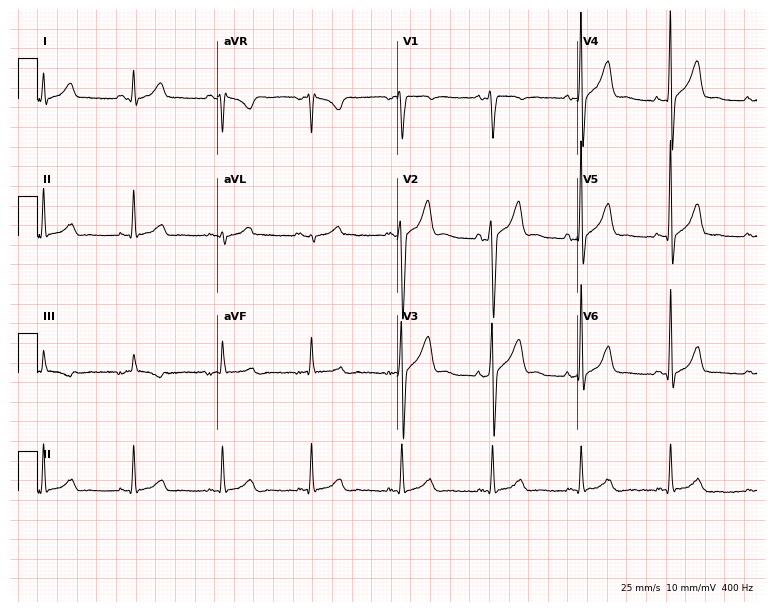
Resting 12-lead electrocardiogram. Patient: a man, 32 years old. Read as a normal ECG.